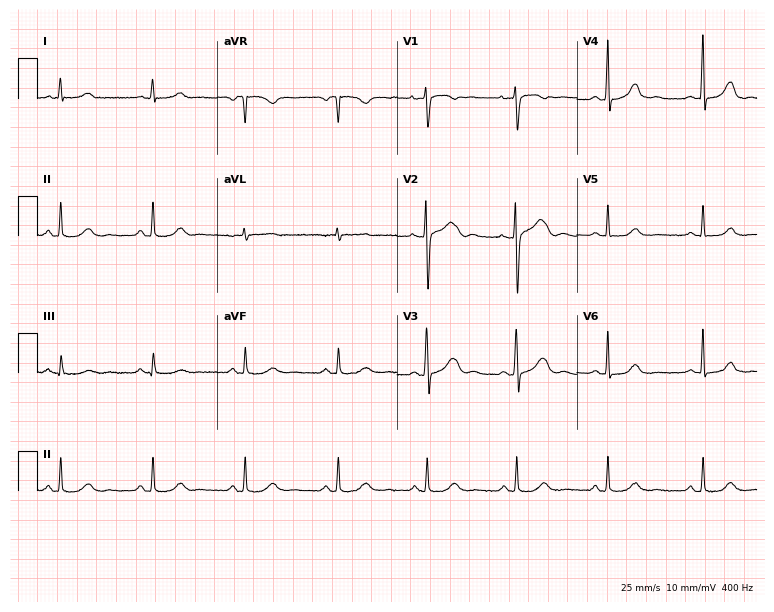
Resting 12-lead electrocardiogram. Patient: a 46-year-old woman. Read as a normal ECG.